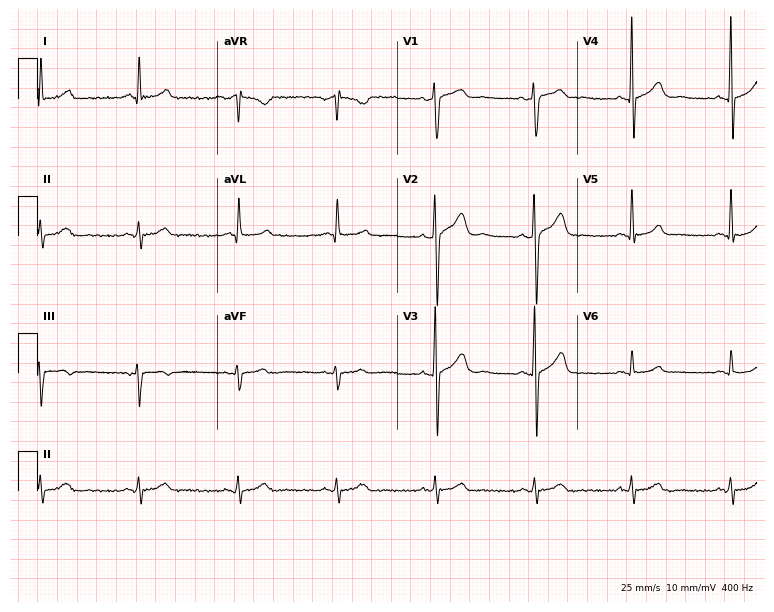
12-lead ECG from a male, 60 years old. Screened for six findings — first-degree AV block, right bundle branch block, left bundle branch block, sinus bradycardia, atrial fibrillation, sinus tachycardia — none is recorded. Findings outside these six are not listed.